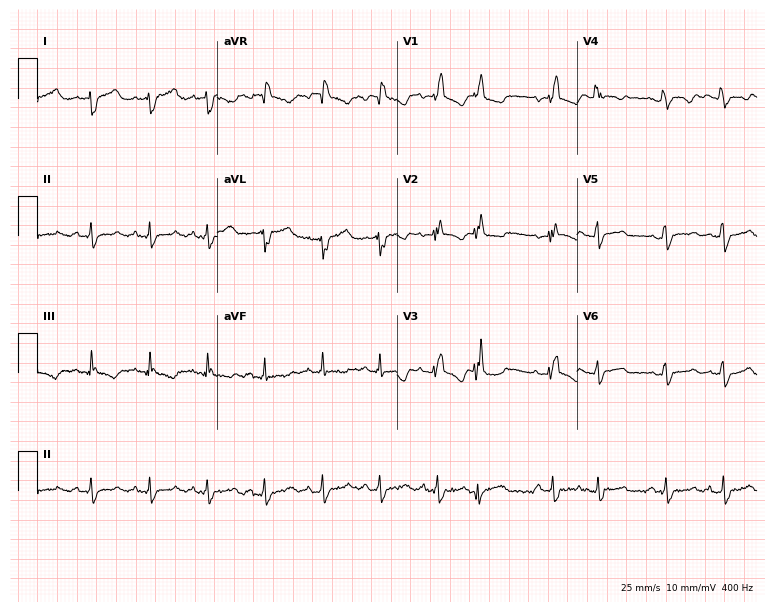
12-lead ECG (7.3-second recording at 400 Hz) from a female, 63 years old. Findings include right bundle branch block.